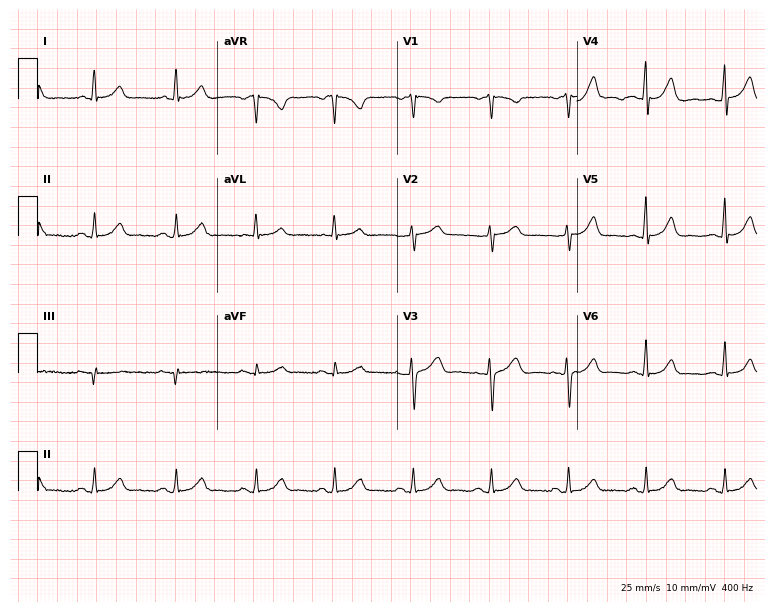
Resting 12-lead electrocardiogram. Patient: a 57-year-old woman. Read as a normal ECG.